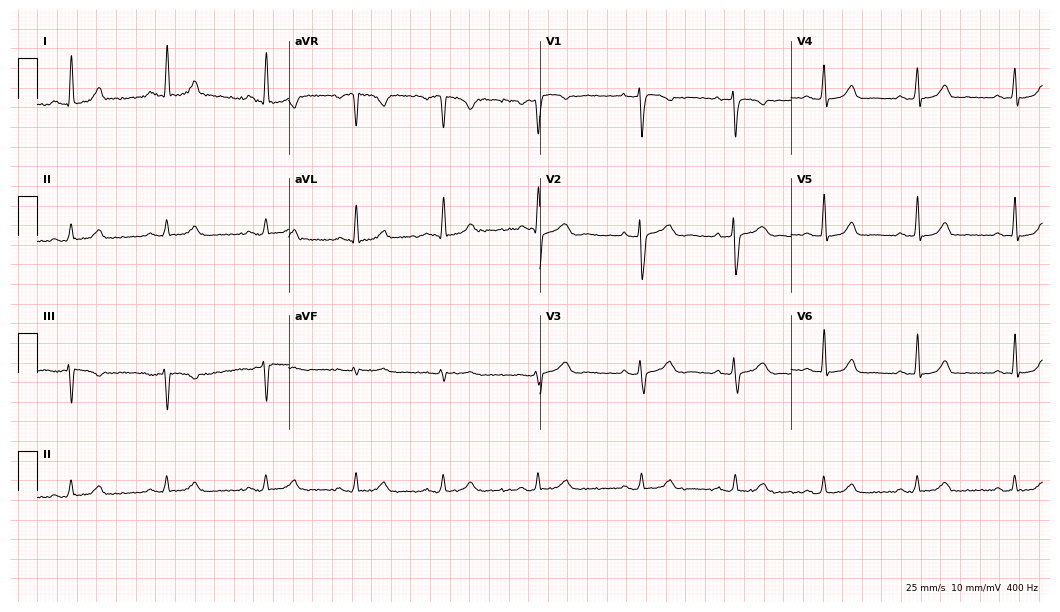
12-lead ECG from a 46-year-old female. Recorded interpretation: within normal limits.